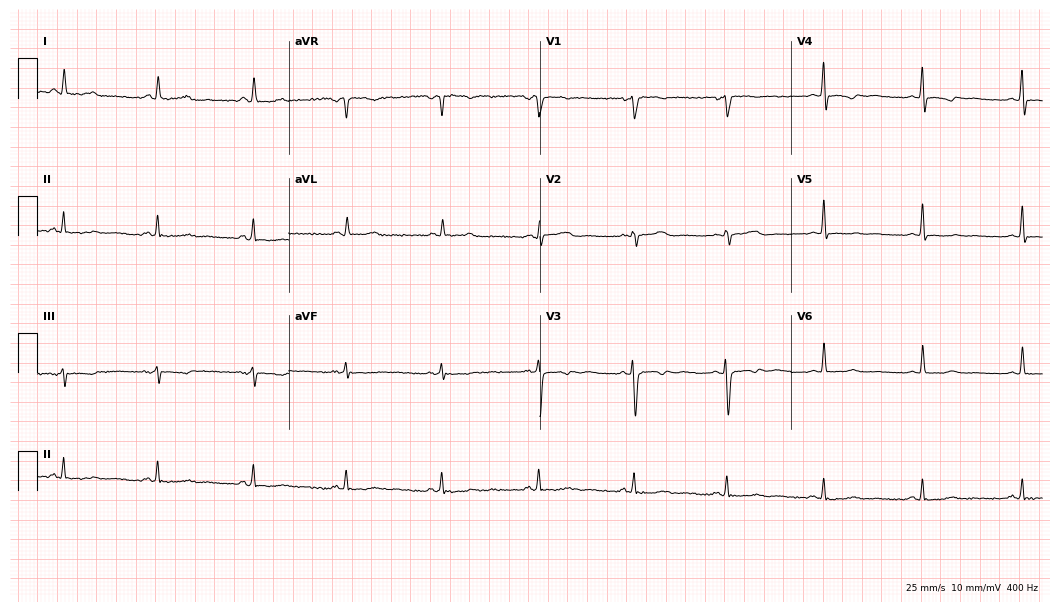
12-lead ECG from a 41-year-old female. Recorded interpretation: within normal limits.